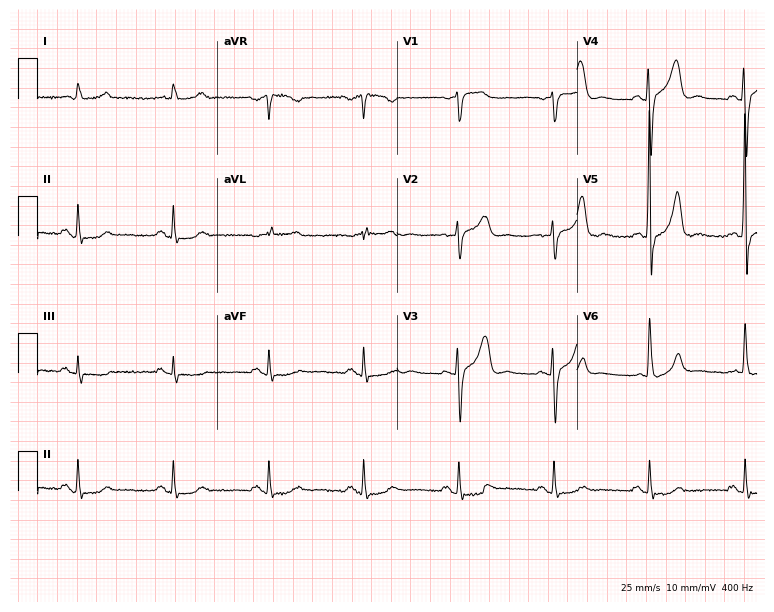
12-lead ECG from a man, 80 years old. No first-degree AV block, right bundle branch block (RBBB), left bundle branch block (LBBB), sinus bradycardia, atrial fibrillation (AF) or sinus tachycardia recorded for this tracing.